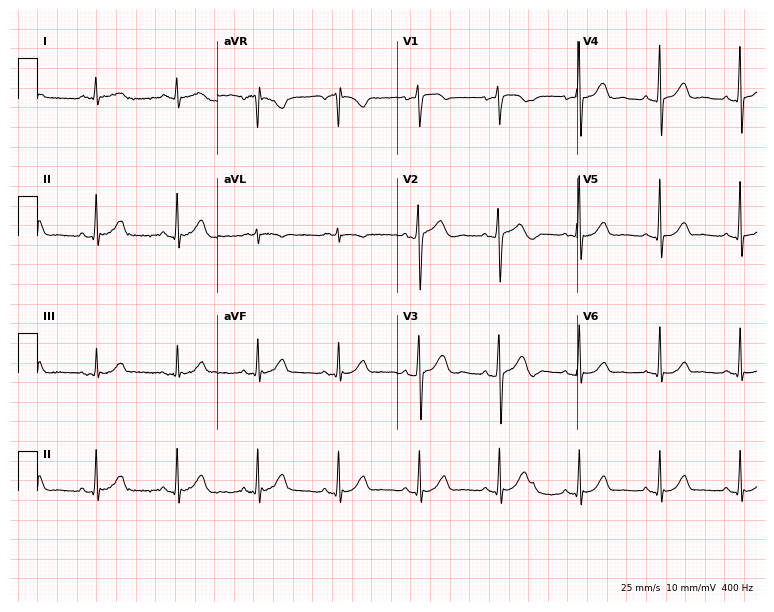
12-lead ECG from a 57-year-old male (7.3-second recording at 400 Hz). Recorded interpretation: within normal limits.